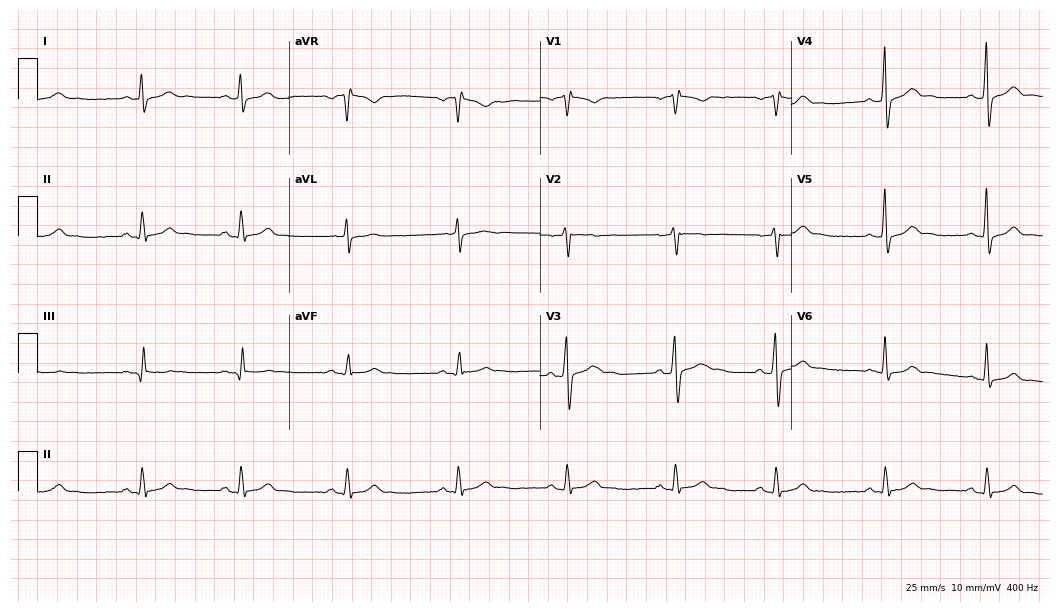
ECG (10.2-second recording at 400 Hz) — a 25-year-old woman. Screened for six findings — first-degree AV block, right bundle branch block, left bundle branch block, sinus bradycardia, atrial fibrillation, sinus tachycardia — none is recorded.